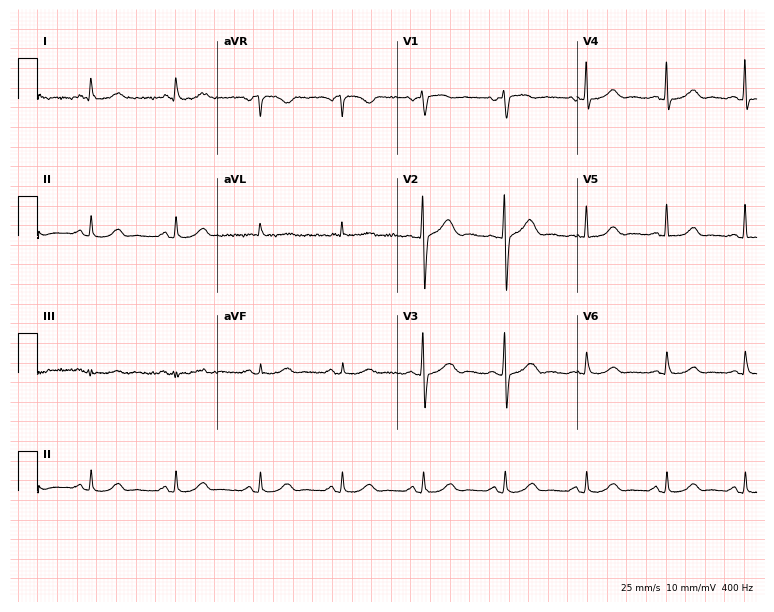
Resting 12-lead electrocardiogram (7.3-second recording at 400 Hz). Patient: a woman, 56 years old. None of these six findings is recorded: first-degree AV block, right bundle branch block, left bundle branch block, sinus bradycardia, atrial fibrillation, sinus tachycardia.